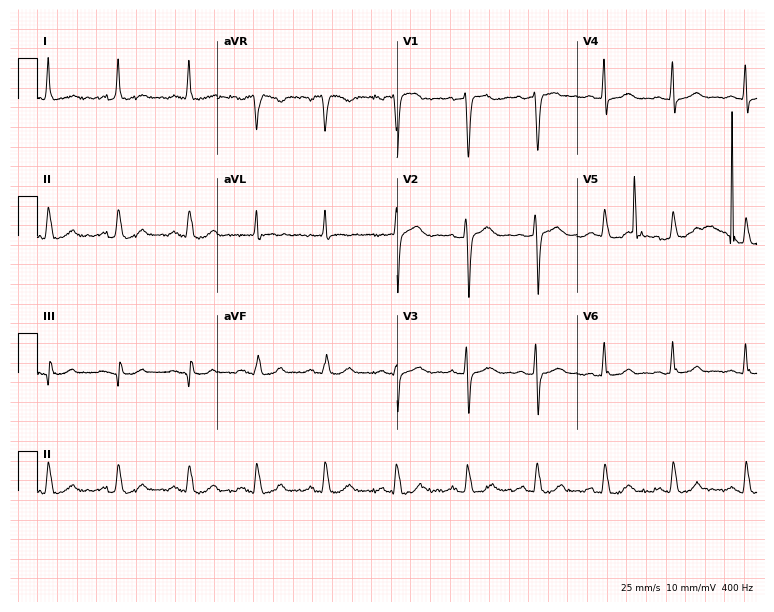
Resting 12-lead electrocardiogram (7.3-second recording at 400 Hz). Patient: a 47-year-old female. None of these six findings is recorded: first-degree AV block, right bundle branch block (RBBB), left bundle branch block (LBBB), sinus bradycardia, atrial fibrillation (AF), sinus tachycardia.